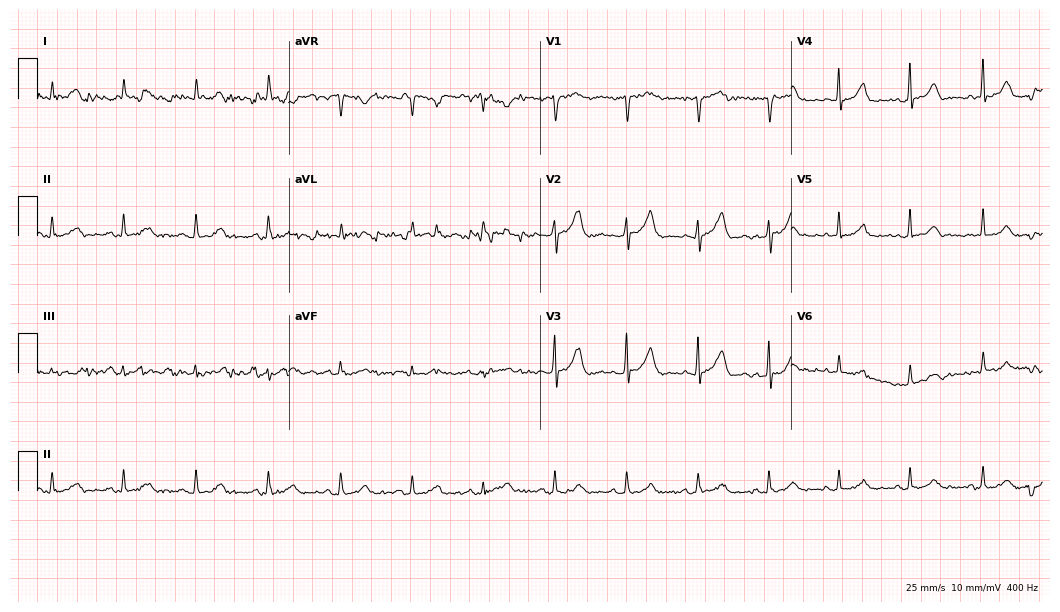
12-lead ECG from a 76-year-old female. Labelled as a normal ECG.